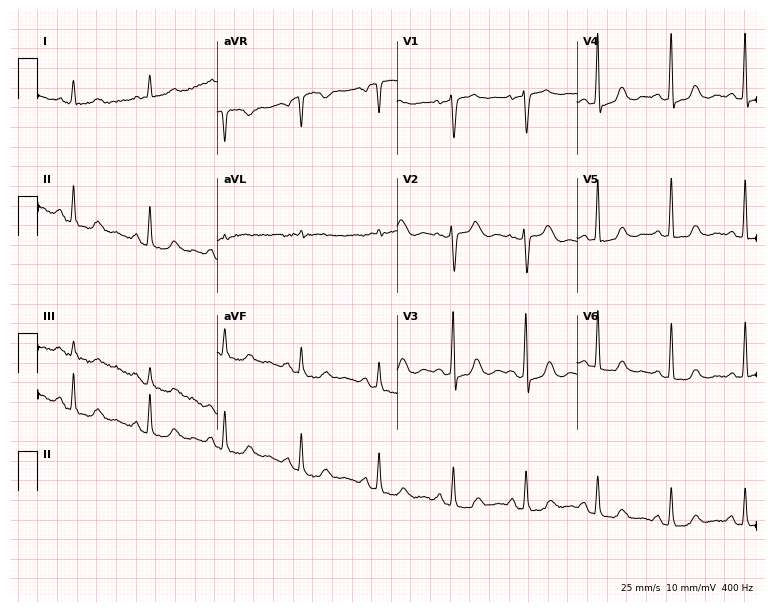
Resting 12-lead electrocardiogram (7.3-second recording at 400 Hz). Patient: a woman, 61 years old. None of these six findings is recorded: first-degree AV block, right bundle branch block, left bundle branch block, sinus bradycardia, atrial fibrillation, sinus tachycardia. Other findings, if any, are not listed.